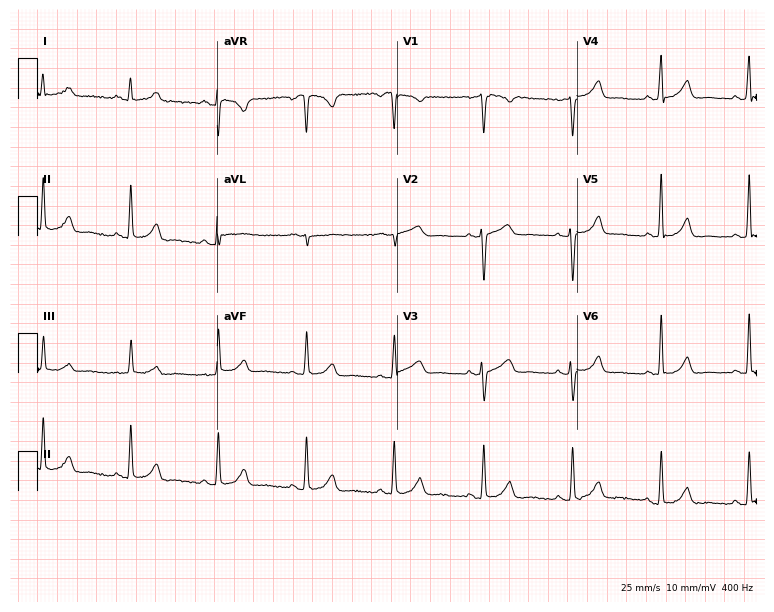
Standard 12-lead ECG recorded from a 45-year-old female patient. None of these six findings is recorded: first-degree AV block, right bundle branch block (RBBB), left bundle branch block (LBBB), sinus bradycardia, atrial fibrillation (AF), sinus tachycardia. Only these six findings were labelled.